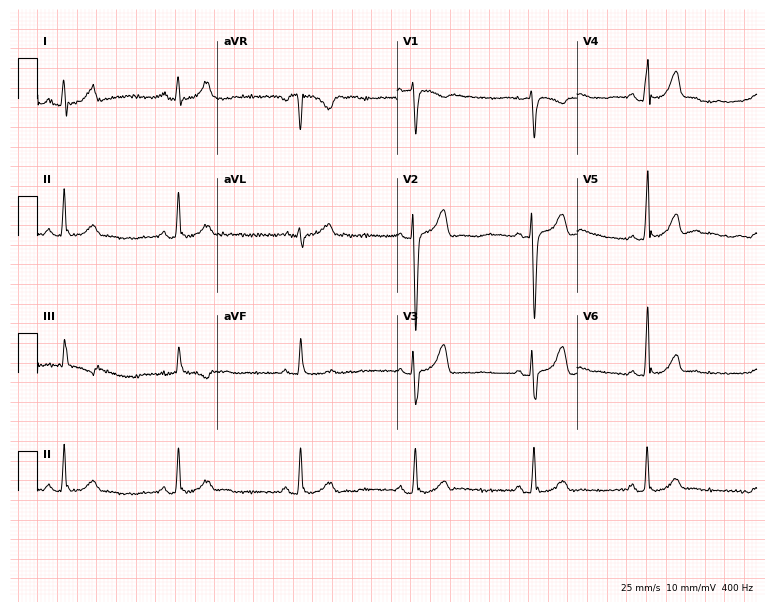
Resting 12-lead electrocardiogram. Patient: a 28-year-old male. None of these six findings is recorded: first-degree AV block, right bundle branch block, left bundle branch block, sinus bradycardia, atrial fibrillation, sinus tachycardia. Findings outside these six are not listed.